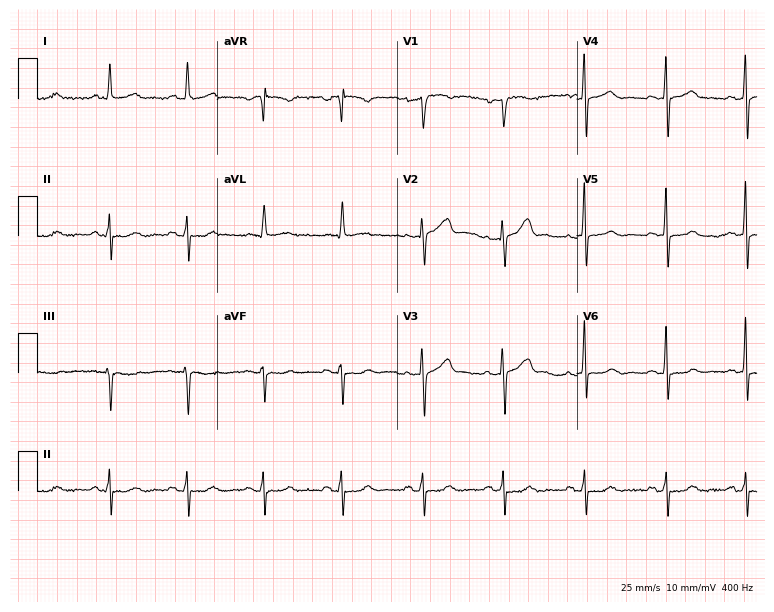
12-lead ECG from a 52-year-old male patient. Screened for six findings — first-degree AV block, right bundle branch block, left bundle branch block, sinus bradycardia, atrial fibrillation, sinus tachycardia — none is recorded. Other findings, if any, are not listed.